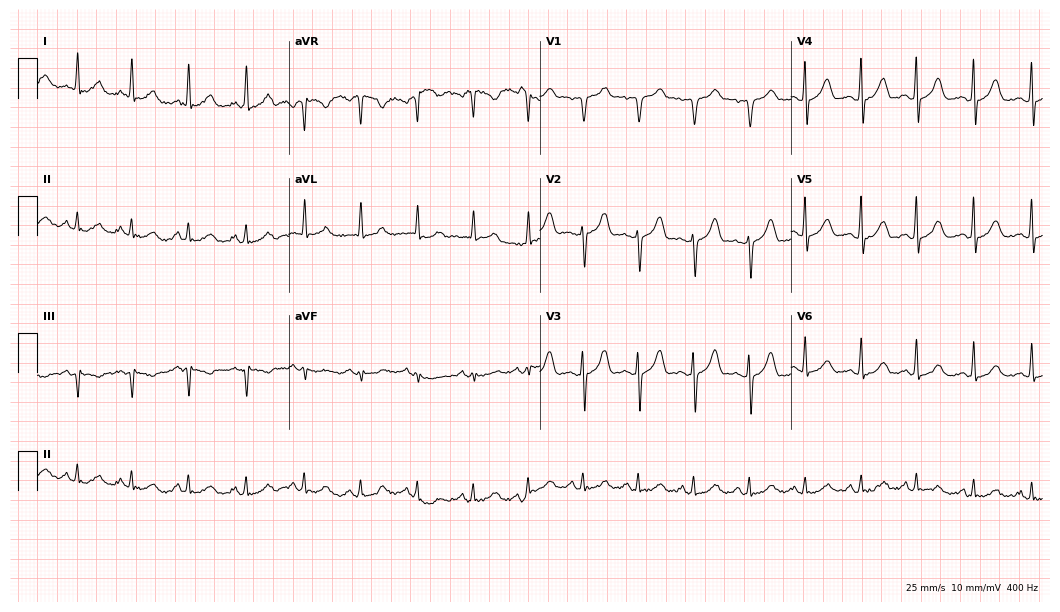
Resting 12-lead electrocardiogram. Patient: a woman, 77 years old. The tracing shows sinus tachycardia (a sinus rate of 100 beats per minute or more).